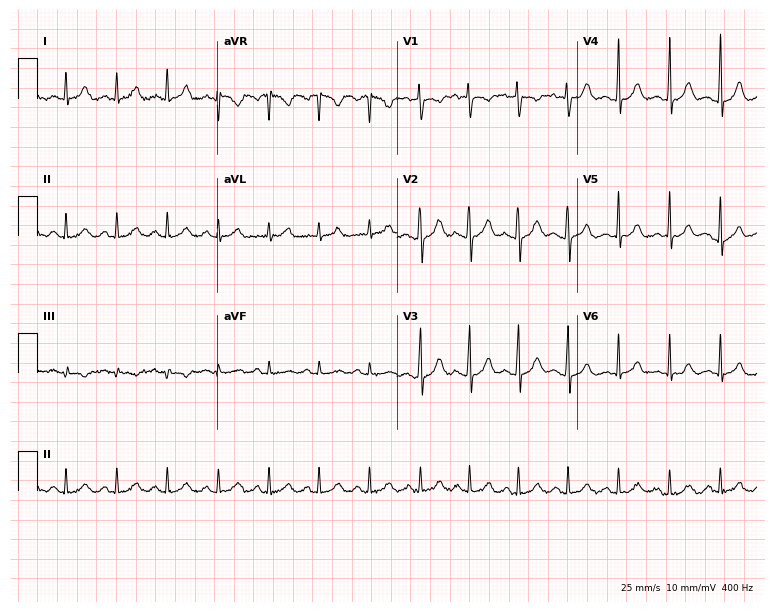
12-lead ECG from a 20-year-old woman (7.3-second recording at 400 Hz). Shows sinus tachycardia (a sinus rate of 100 beats per minute or more).